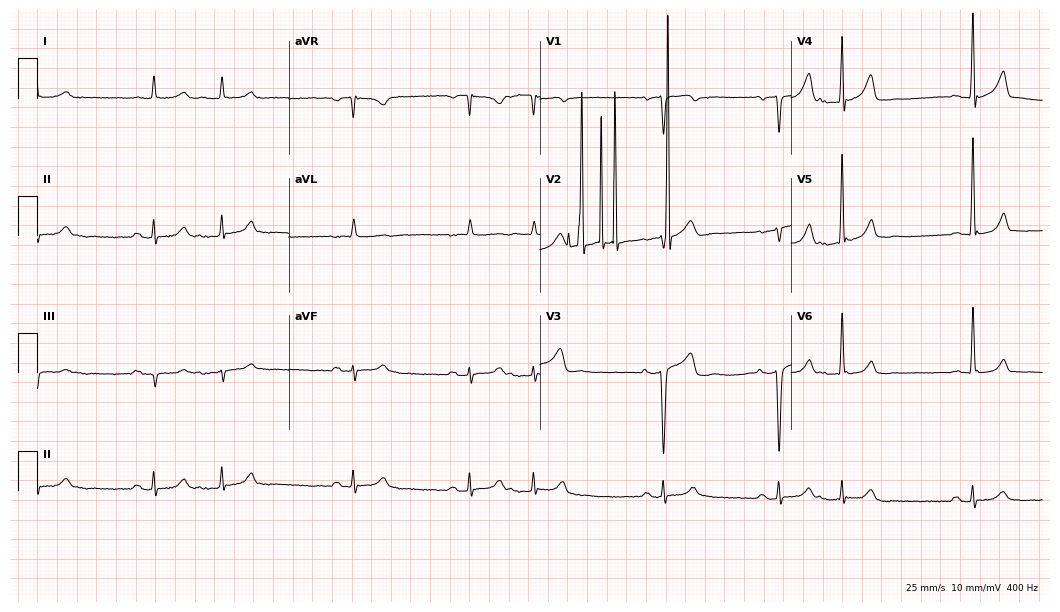
12-lead ECG from a male patient, 68 years old. Screened for six findings — first-degree AV block, right bundle branch block, left bundle branch block, sinus bradycardia, atrial fibrillation, sinus tachycardia — none is recorded.